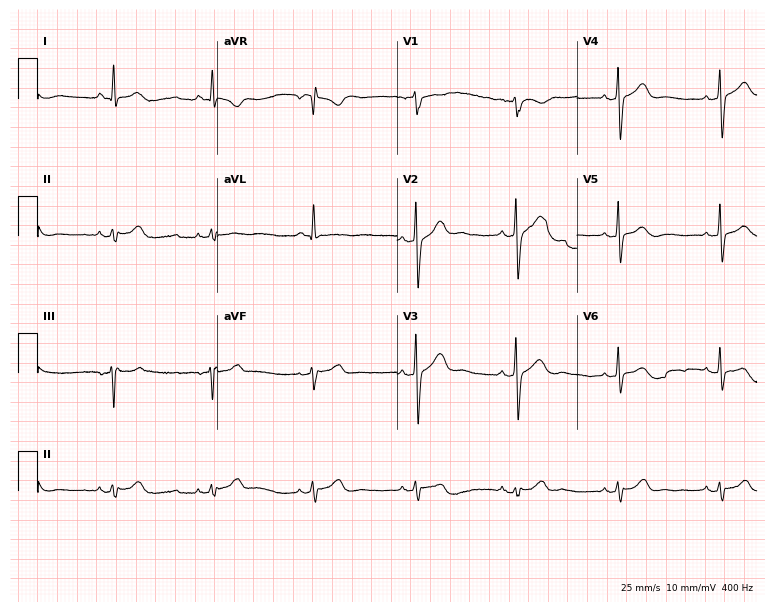
Resting 12-lead electrocardiogram (7.3-second recording at 400 Hz). Patient: an 84-year-old man. Read as a normal ECG.